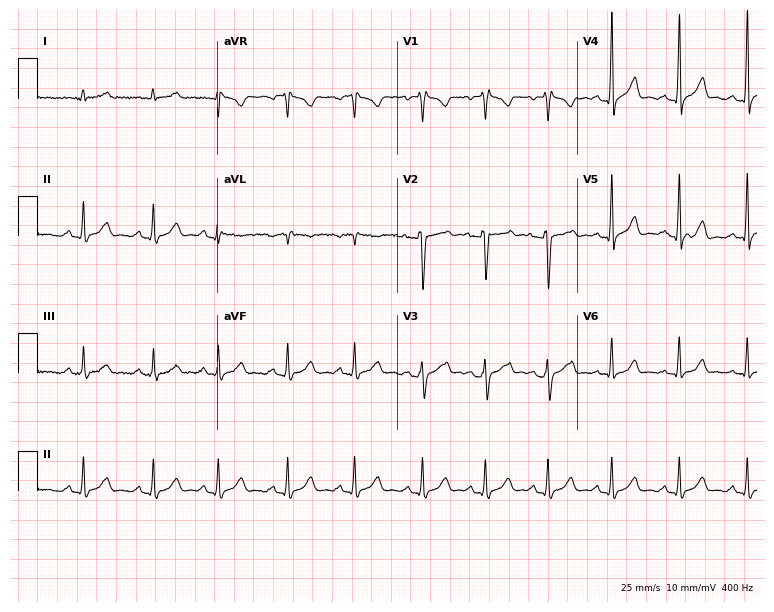
Standard 12-lead ECG recorded from a female patient, 28 years old (7.3-second recording at 400 Hz). None of these six findings is recorded: first-degree AV block, right bundle branch block (RBBB), left bundle branch block (LBBB), sinus bradycardia, atrial fibrillation (AF), sinus tachycardia. Only these six findings were labelled.